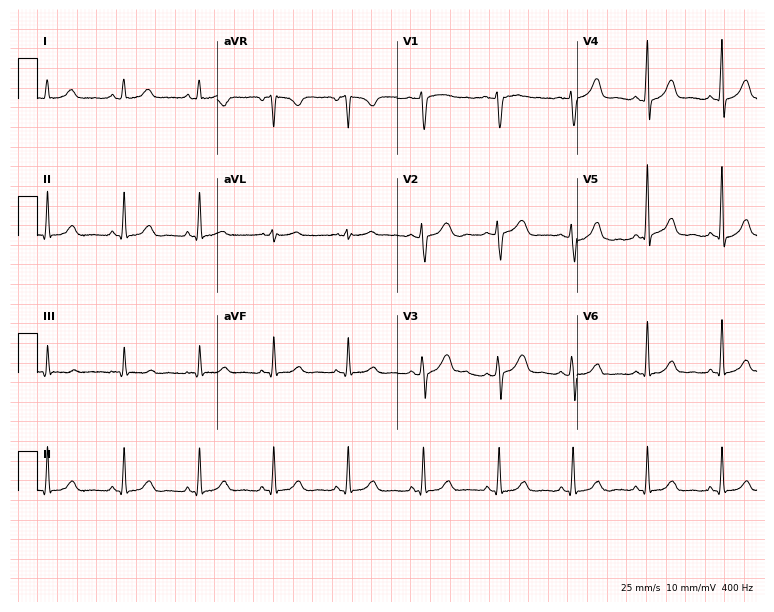
Resting 12-lead electrocardiogram. Patient: a female, 49 years old. None of these six findings is recorded: first-degree AV block, right bundle branch block (RBBB), left bundle branch block (LBBB), sinus bradycardia, atrial fibrillation (AF), sinus tachycardia.